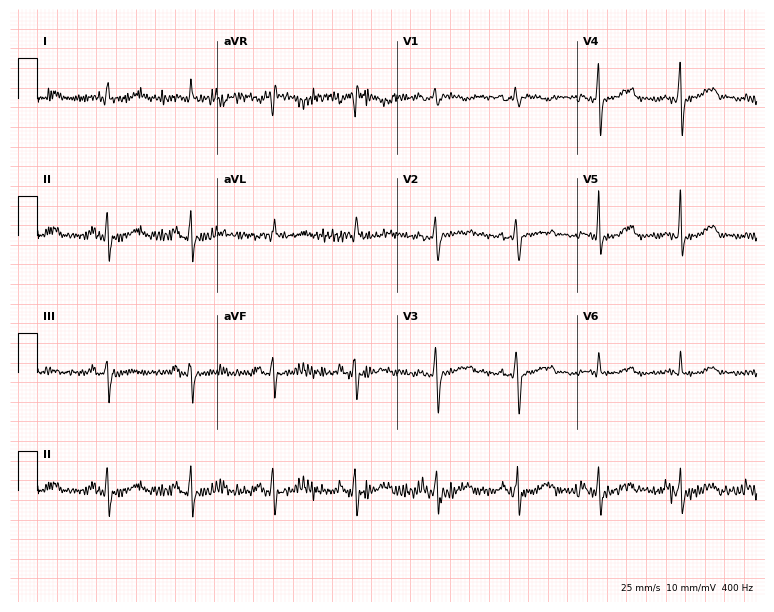
Resting 12-lead electrocardiogram. Patient: a 76-year-old female. None of these six findings is recorded: first-degree AV block, right bundle branch block (RBBB), left bundle branch block (LBBB), sinus bradycardia, atrial fibrillation (AF), sinus tachycardia. Other findings, if any, are not listed.